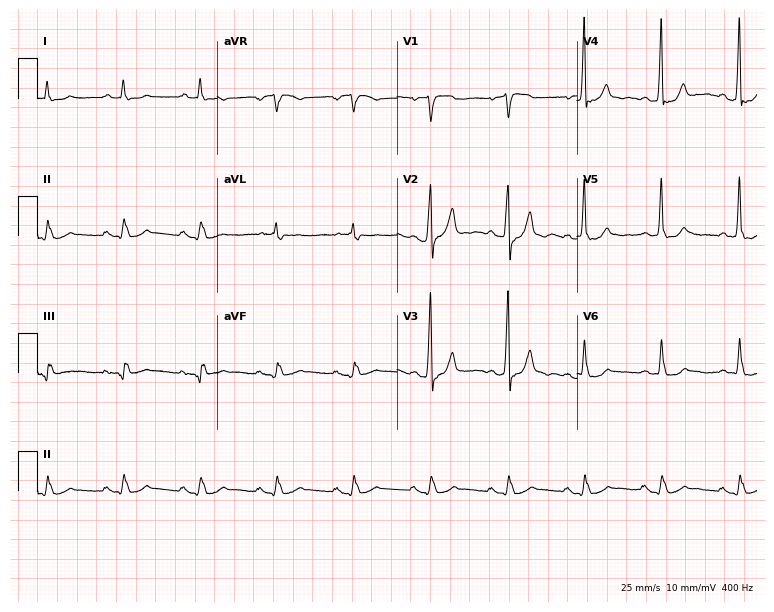
12-lead ECG from a 55-year-old man. No first-degree AV block, right bundle branch block (RBBB), left bundle branch block (LBBB), sinus bradycardia, atrial fibrillation (AF) or sinus tachycardia recorded for this tracing.